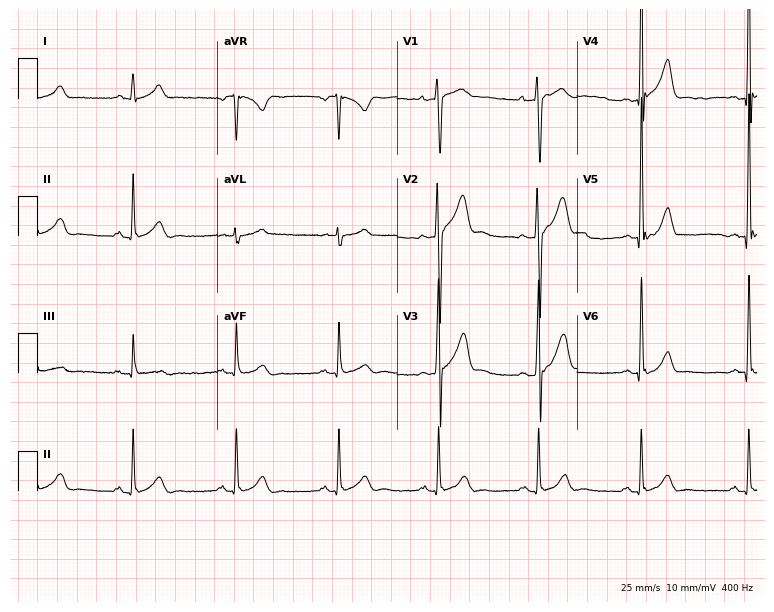
Resting 12-lead electrocardiogram (7.3-second recording at 400 Hz). Patient: a man, 26 years old. None of these six findings is recorded: first-degree AV block, right bundle branch block, left bundle branch block, sinus bradycardia, atrial fibrillation, sinus tachycardia.